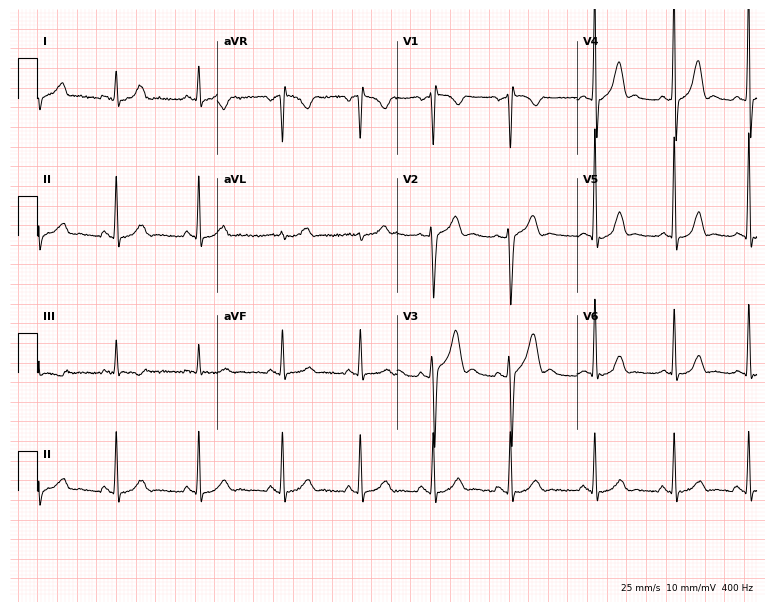
Electrocardiogram, a 27-year-old male patient. Of the six screened findings (first-degree AV block, right bundle branch block (RBBB), left bundle branch block (LBBB), sinus bradycardia, atrial fibrillation (AF), sinus tachycardia), none is recorded.